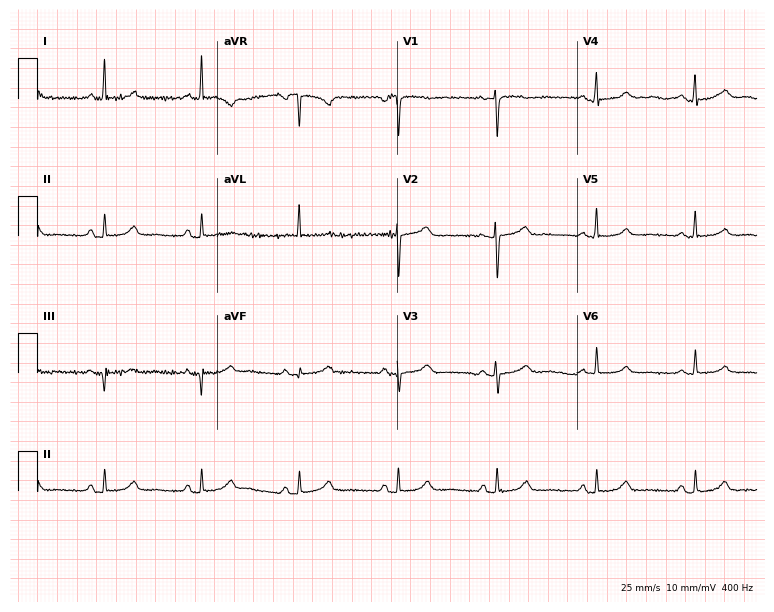
ECG (7.3-second recording at 400 Hz) — a female, 62 years old. Screened for six findings — first-degree AV block, right bundle branch block (RBBB), left bundle branch block (LBBB), sinus bradycardia, atrial fibrillation (AF), sinus tachycardia — none is recorded. Findings outside these six are not listed.